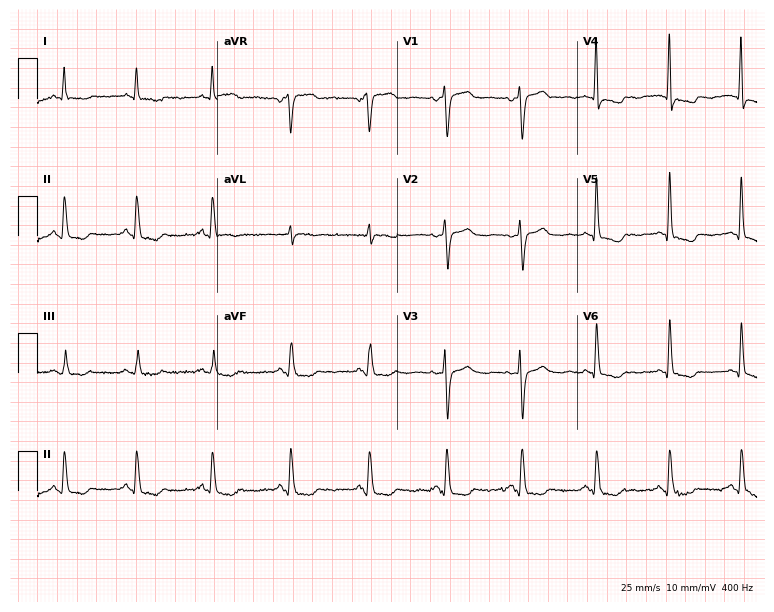
ECG (7.3-second recording at 400 Hz) — a woman, 49 years old. Screened for six findings — first-degree AV block, right bundle branch block (RBBB), left bundle branch block (LBBB), sinus bradycardia, atrial fibrillation (AF), sinus tachycardia — none is recorded. Only these six findings were labelled.